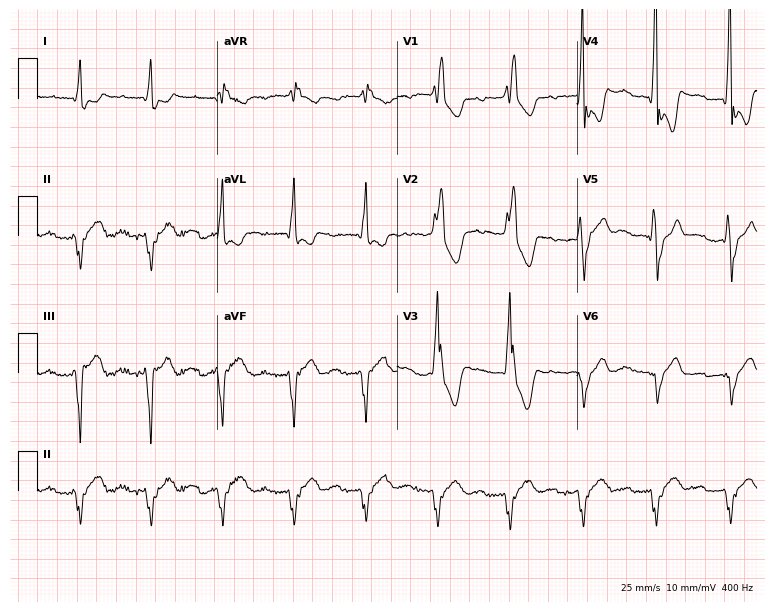
12-lead ECG from a male patient, 56 years old. Shows first-degree AV block, right bundle branch block.